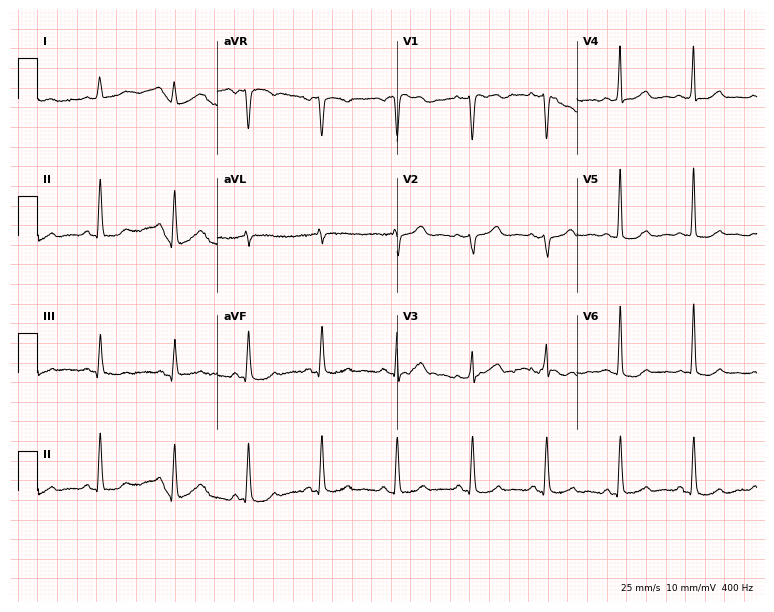
Resting 12-lead electrocardiogram (7.3-second recording at 400 Hz). Patient: a 69-year-old female. None of these six findings is recorded: first-degree AV block, right bundle branch block (RBBB), left bundle branch block (LBBB), sinus bradycardia, atrial fibrillation (AF), sinus tachycardia. Only these six findings were labelled.